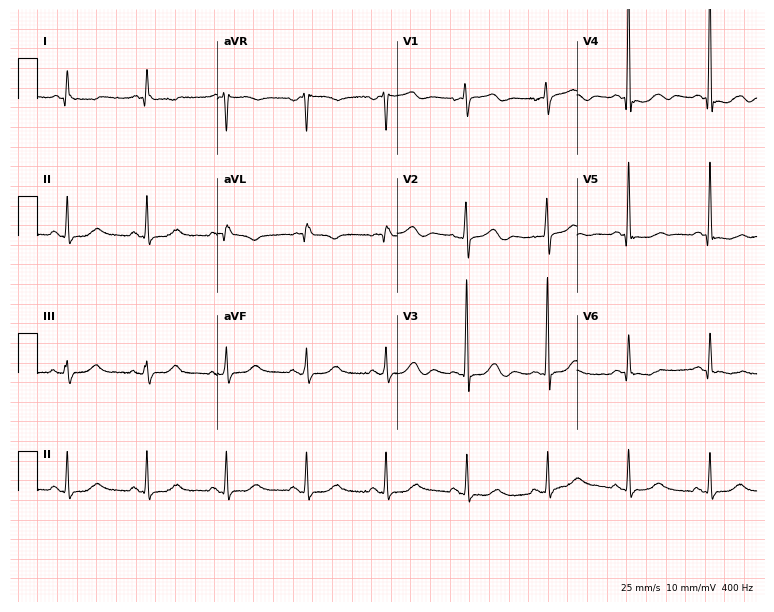
ECG — a female patient, 77 years old. Screened for six findings — first-degree AV block, right bundle branch block, left bundle branch block, sinus bradycardia, atrial fibrillation, sinus tachycardia — none is recorded. Other findings, if any, are not listed.